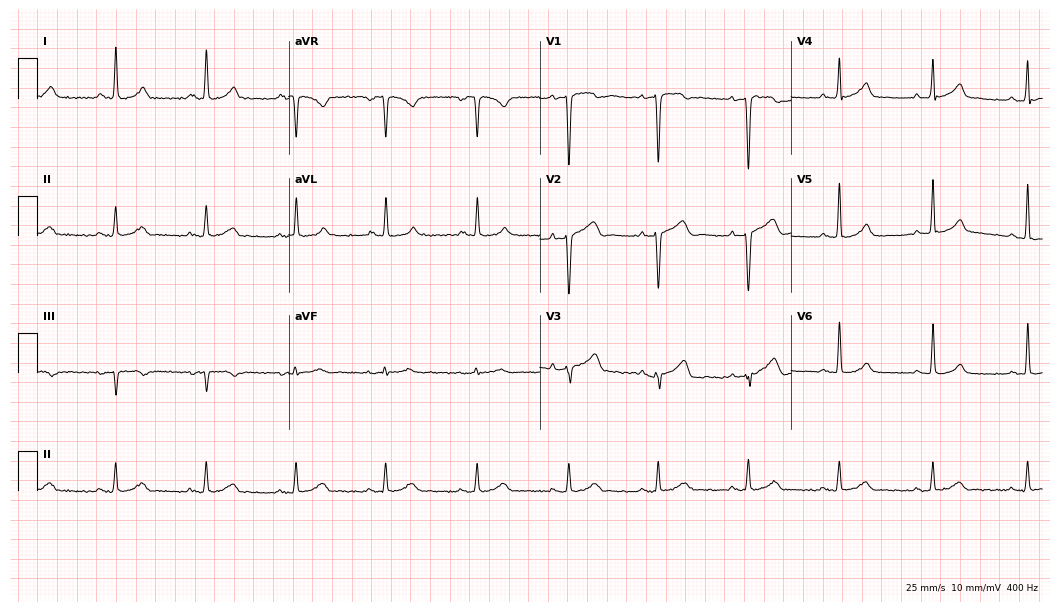
12-lead ECG from a man, 55 years old. Recorded interpretation: within normal limits.